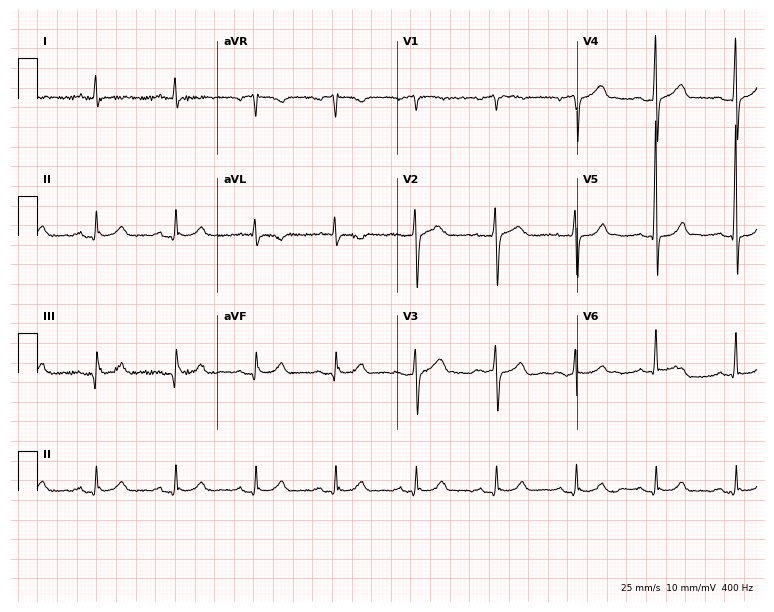
12-lead ECG from a 59-year-old man. Recorded interpretation: within normal limits.